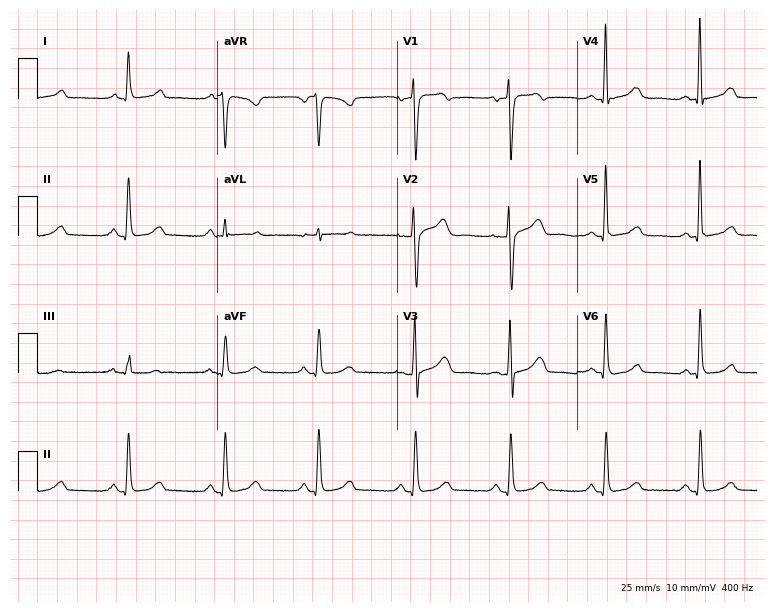
12-lead ECG (7.3-second recording at 400 Hz) from a female, 63 years old. Labelled as a normal ECG.